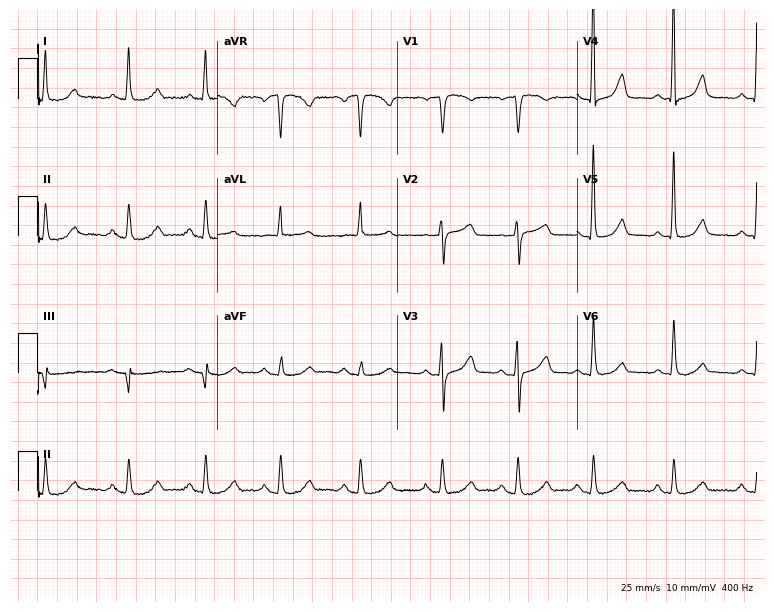
ECG (7.3-second recording at 400 Hz) — a 76-year-old female patient. Labelled as a normal ECG.